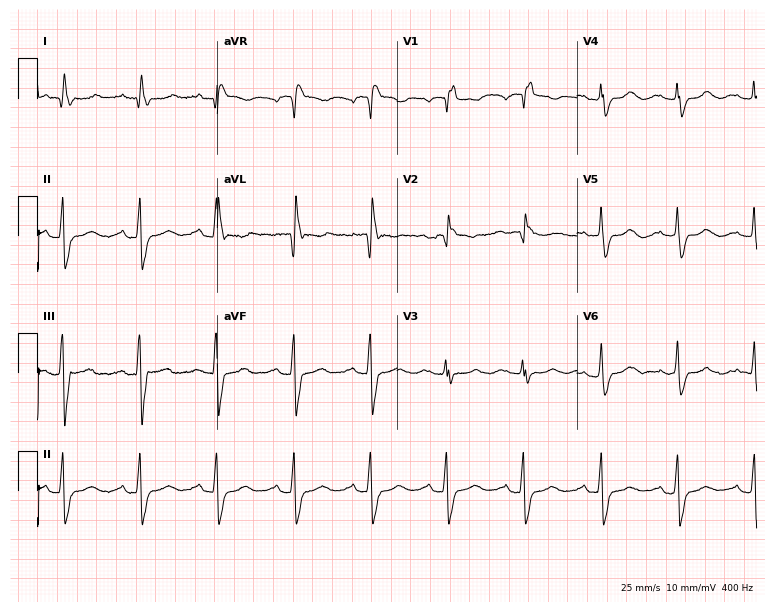
12-lead ECG from a female, 79 years old (7.3-second recording at 400 Hz). Shows right bundle branch block.